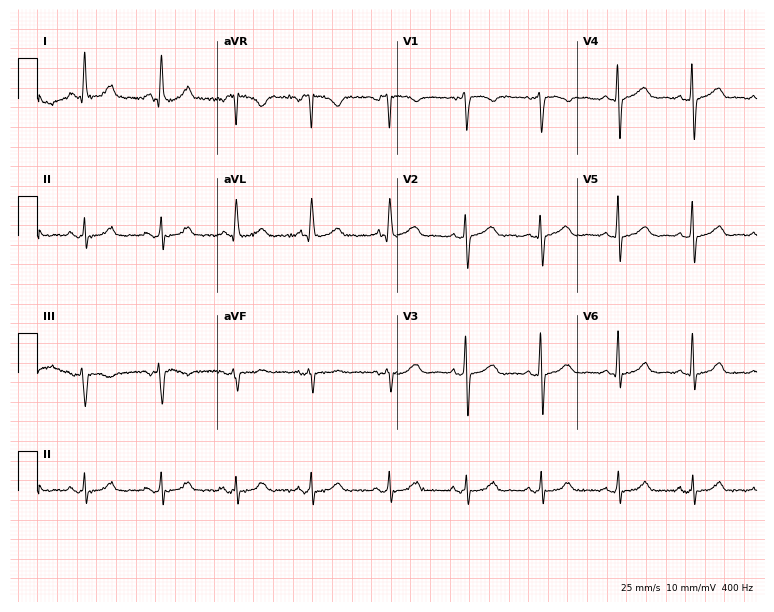
12-lead ECG (7.3-second recording at 400 Hz) from a 48-year-old woman. Screened for six findings — first-degree AV block, right bundle branch block (RBBB), left bundle branch block (LBBB), sinus bradycardia, atrial fibrillation (AF), sinus tachycardia — none is recorded. Findings outside these six are not listed.